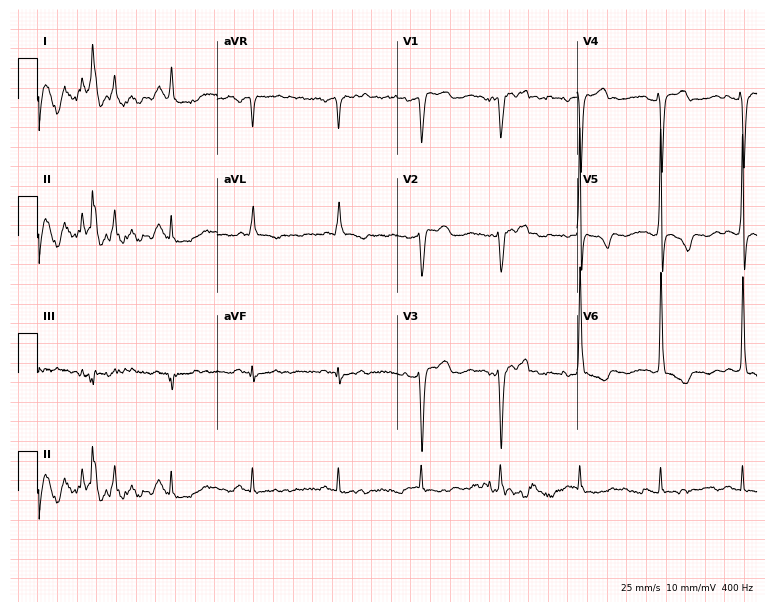
Resting 12-lead electrocardiogram (7.3-second recording at 400 Hz). Patient: an 80-year-old female. None of these six findings is recorded: first-degree AV block, right bundle branch block, left bundle branch block, sinus bradycardia, atrial fibrillation, sinus tachycardia.